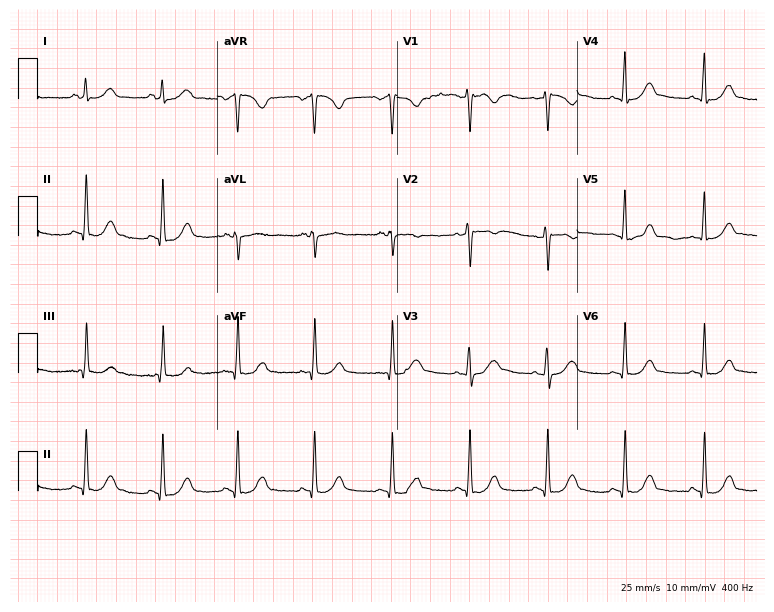
12-lead ECG from a female patient, 36 years old (7.3-second recording at 400 Hz). Recorded interpretation: within normal limits.